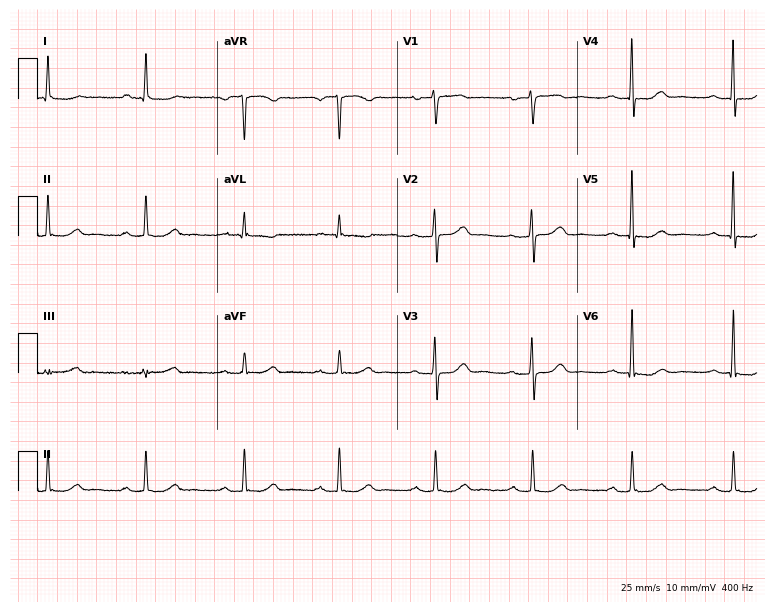
Resting 12-lead electrocardiogram (7.3-second recording at 400 Hz). Patient: a 50-year-old female. None of these six findings is recorded: first-degree AV block, right bundle branch block, left bundle branch block, sinus bradycardia, atrial fibrillation, sinus tachycardia.